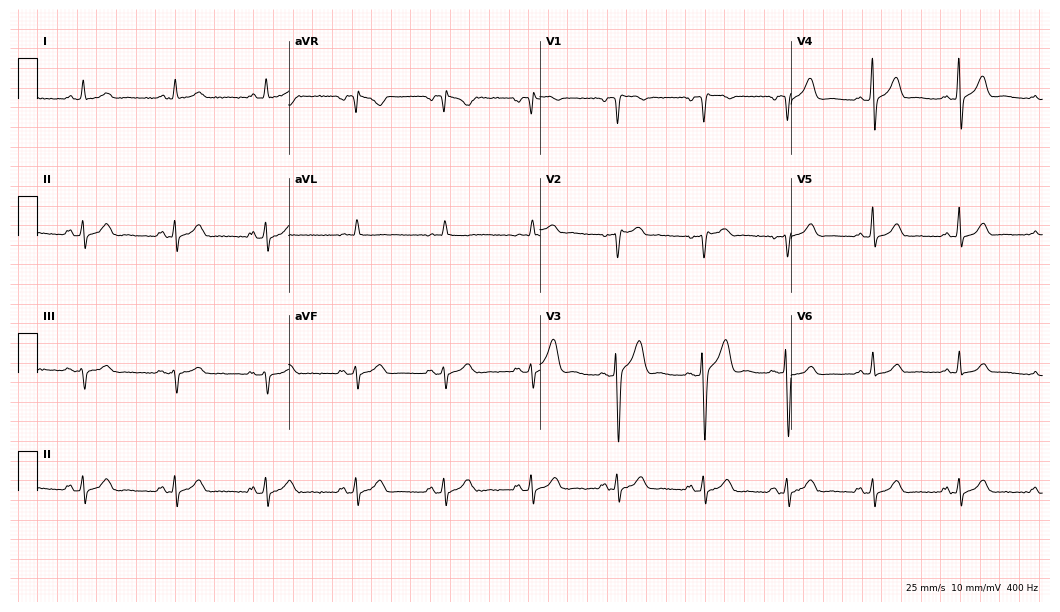
Electrocardiogram, a man, 53 years old. Of the six screened findings (first-degree AV block, right bundle branch block (RBBB), left bundle branch block (LBBB), sinus bradycardia, atrial fibrillation (AF), sinus tachycardia), none is recorded.